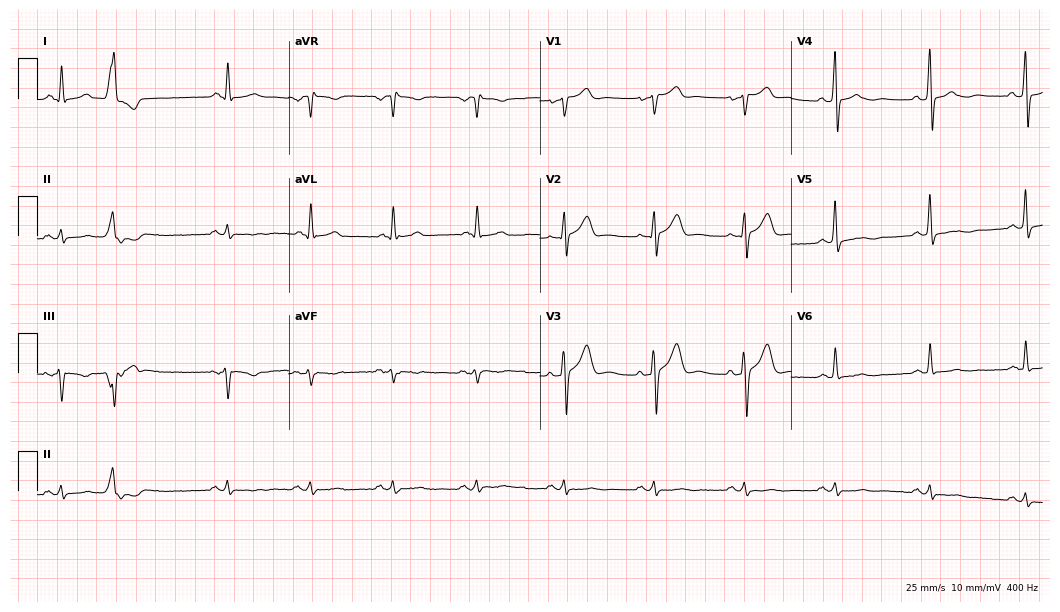
ECG — a 55-year-old male patient. Screened for six findings — first-degree AV block, right bundle branch block, left bundle branch block, sinus bradycardia, atrial fibrillation, sinus tachycardia — none is recorded. Only these six findings were labelled.